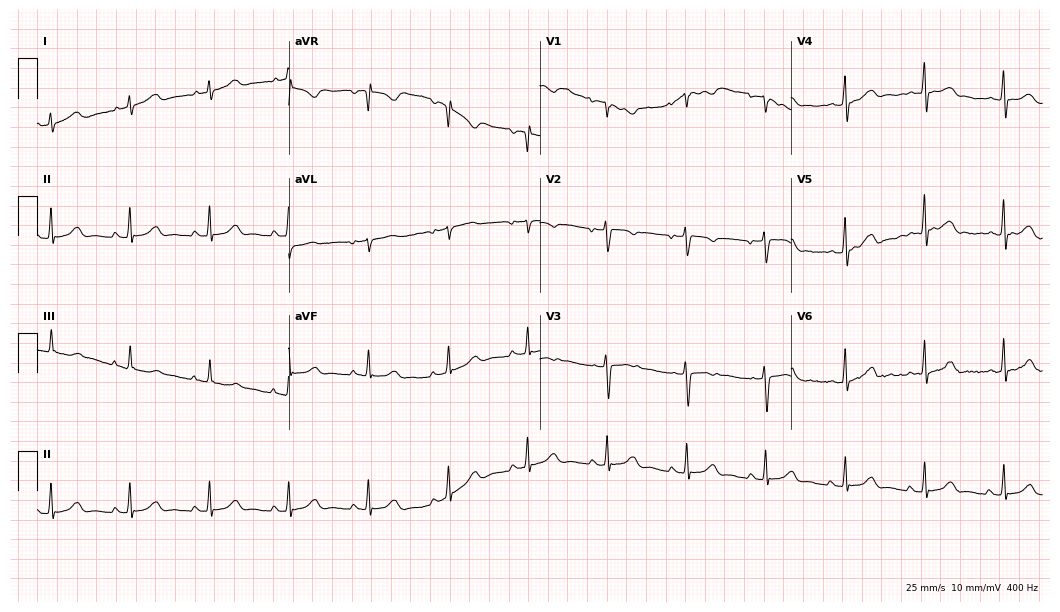
ECG (10.2-second recording at 400 Hz) — a 23-year-old woman. Labelled as a normal ECG.